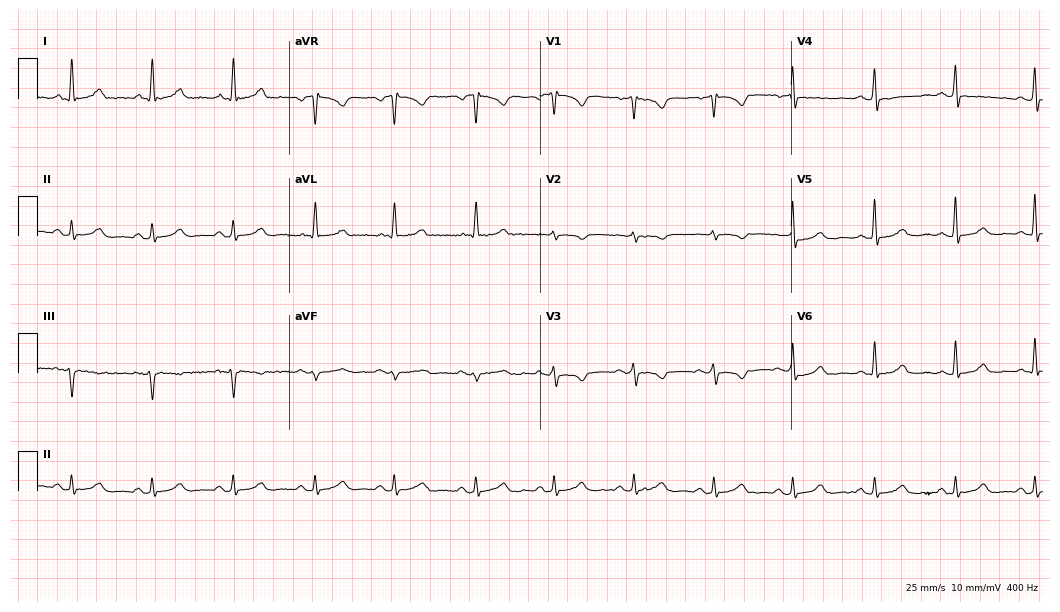
Standard 12-lead ECG recorded from a 55-year-old woman (10.2-second recording at 400 Hz). None of these six findings is recorded: first-degree AV block, right bundle branch block, left bundle branch block, sinus bradycardia, atrial fibrillation, sinus tachycardia.